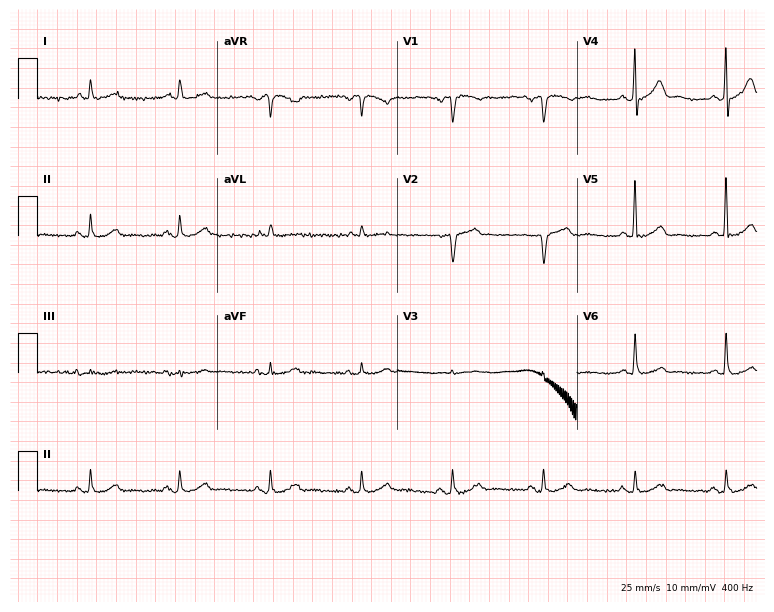
Electrocardiogram, a man, 65 years old. Overall reading on record: normal ECG.